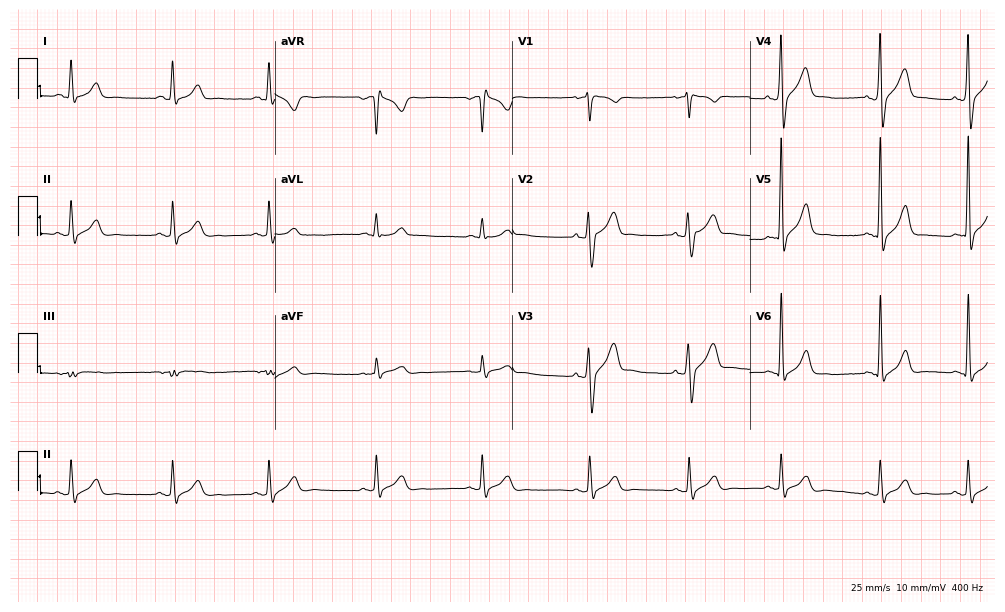
12-lead ECG from a man, 35 years old. No first-degree AV block, right bundle branch block, left bundle branch block, sinus bradycardia, atrial fibrillation or sinus tachycardia recorded for this tracing.